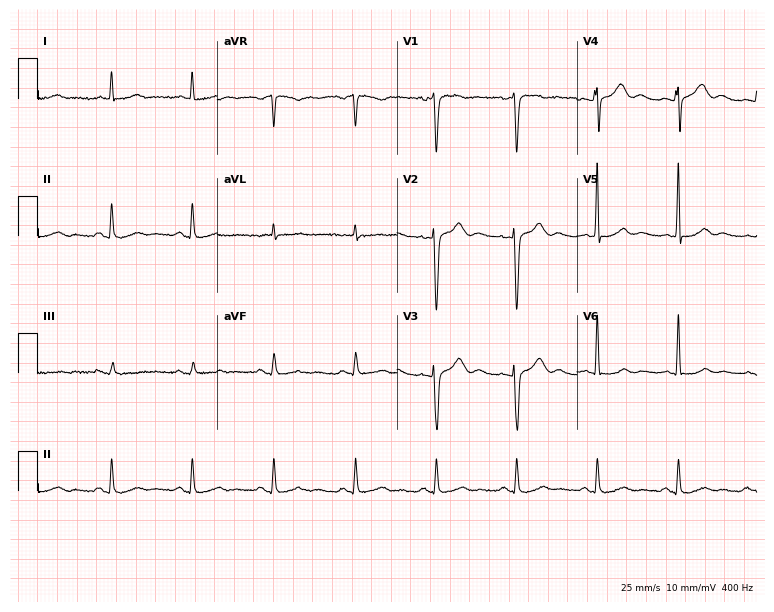
Electrocardiogram (7.3-second recording at 400 Hz), a man, 46 years old. Of the six screened findings (first-degree AV block, right bundle branch block, left bundle branch block, sinus bradycardia, atrial fibrillation, sinus tachycardia), none is recorded. Only these six findings were labelled.